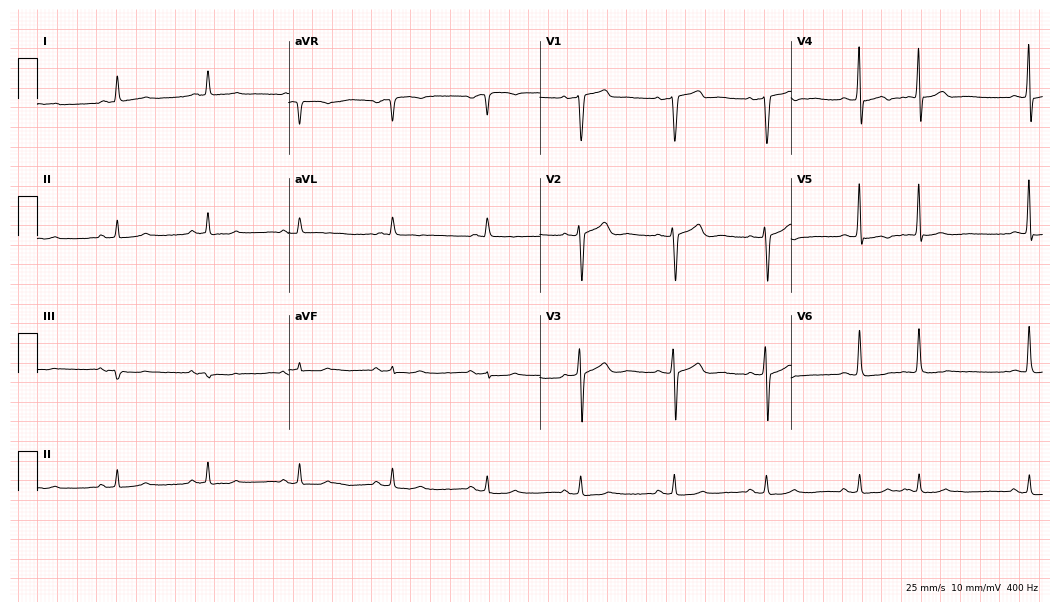
12-lead ECG from a 67-year-old male. Labelled as a normal ECG.